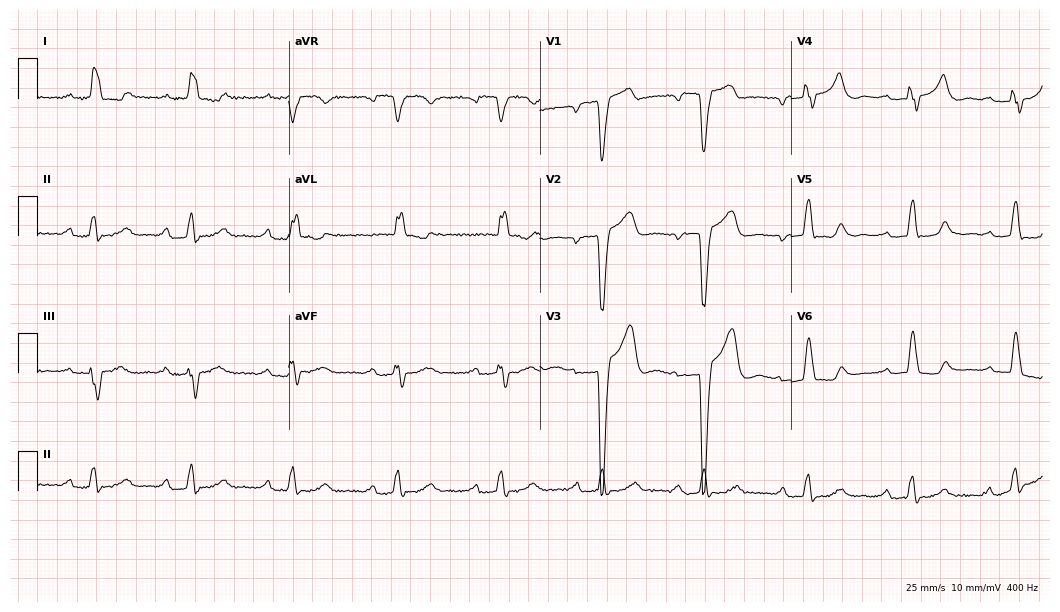
ECG (10.2-second recording at 400 Hz) — a 78-year-old female patient. Findings include first-degree AV block, left bundle branch block.